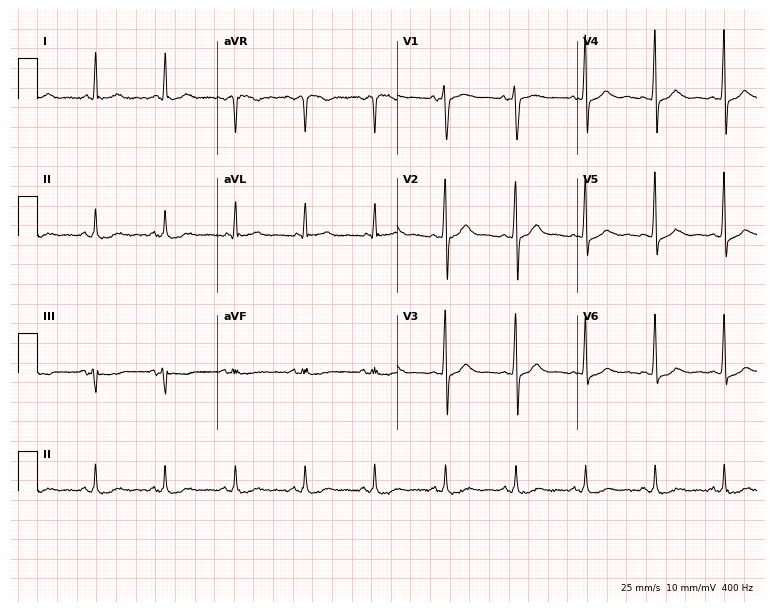
12-lead ECG from a male patient, 49 years old. Recorded interpretation: within normal limits.